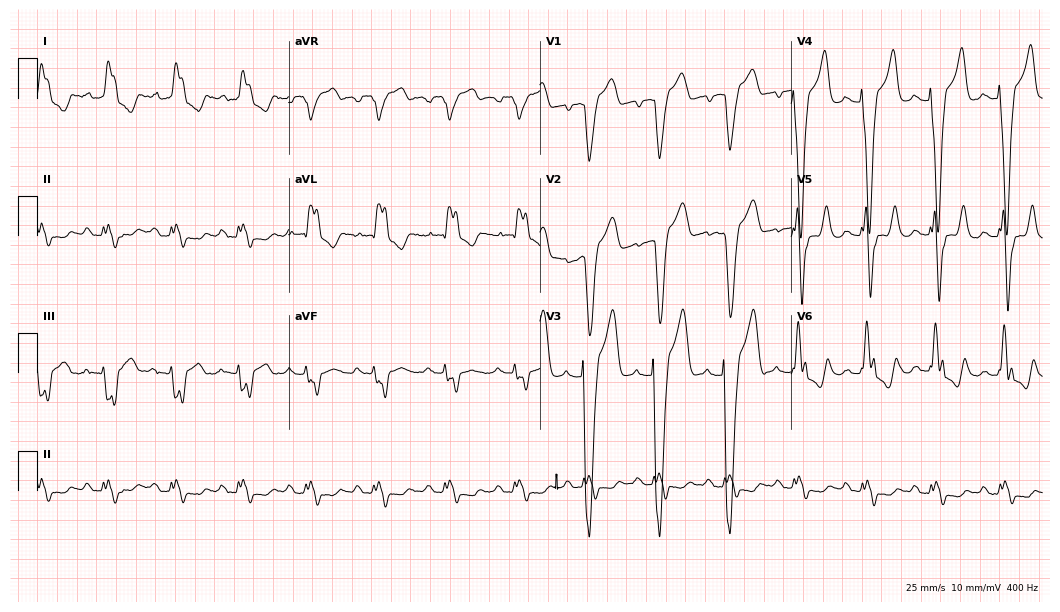
Standard 12-lead ECG recorded from a 65-year-old man (10.2-second recording at 400 Hz). The tracing shows left bundle branch block.